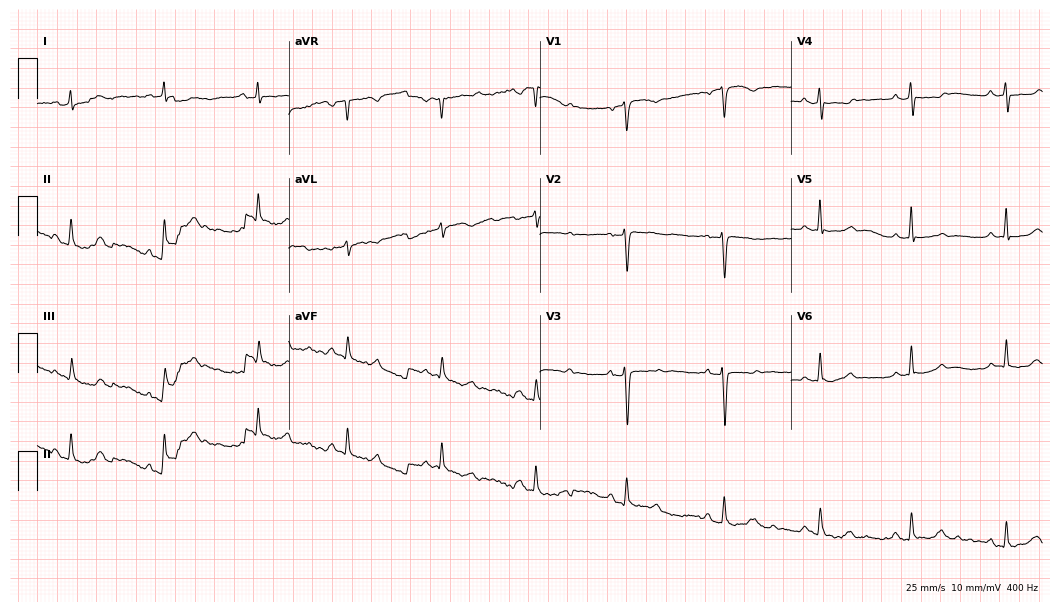
12-lead ECG from a 50-year-old female. Screened for six findings — first-degree AV block, right bundle branch block (RBBB), left bundle branch block (LBBB), sinus bradycardia, atrial fibrillation (AF), sinus tachycardia — none is recorded.